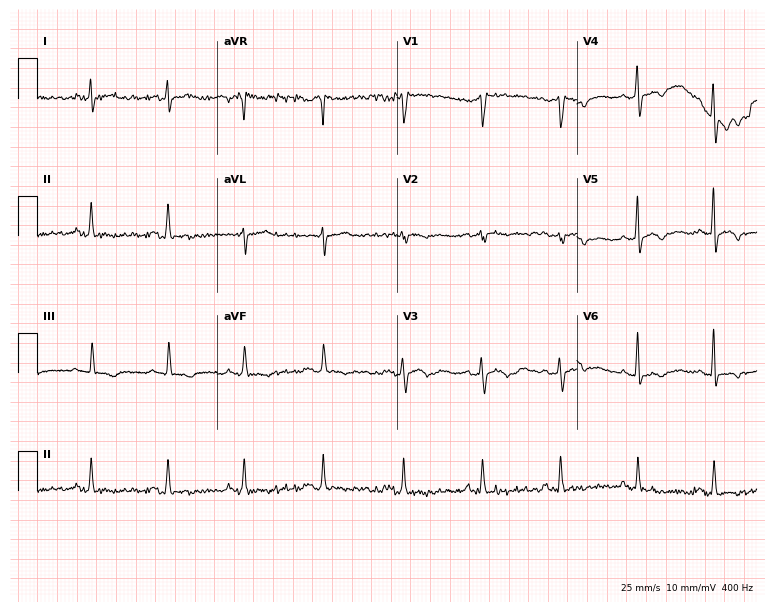
Electrocardiogram (7.3-second recording at 400 Hz), a 46-year-old male. Of the six screened findings (first-degree AV block, right bundle branch block, left bundle branch block, sinus bradycardia, atrial fibrillation, sinus tachycardia), none is recorded.